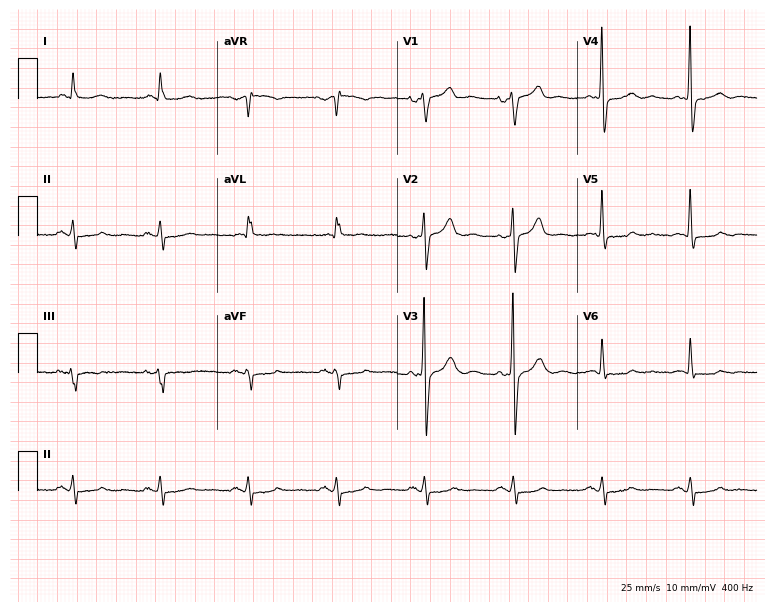
12-lead ECG from a male, 64 years old. Recorded interpretation: within normal limits.